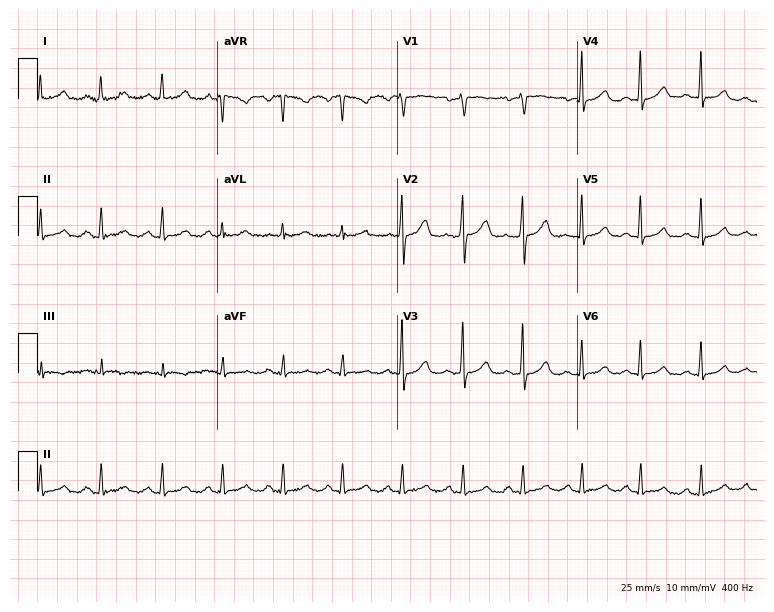
ECG — a female, 49 years old. Labelled as a normal ECG.